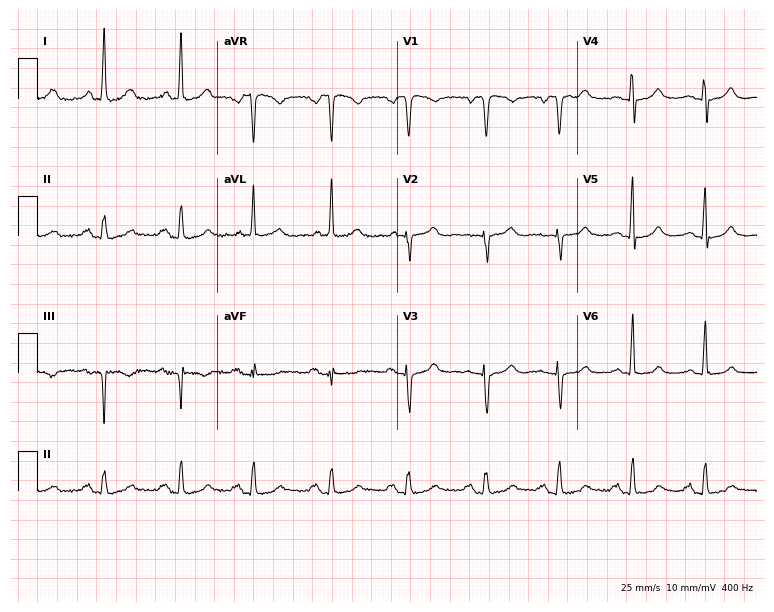
12-lead ECG from a 73-year-old woman. Labelled as a normal ECG.